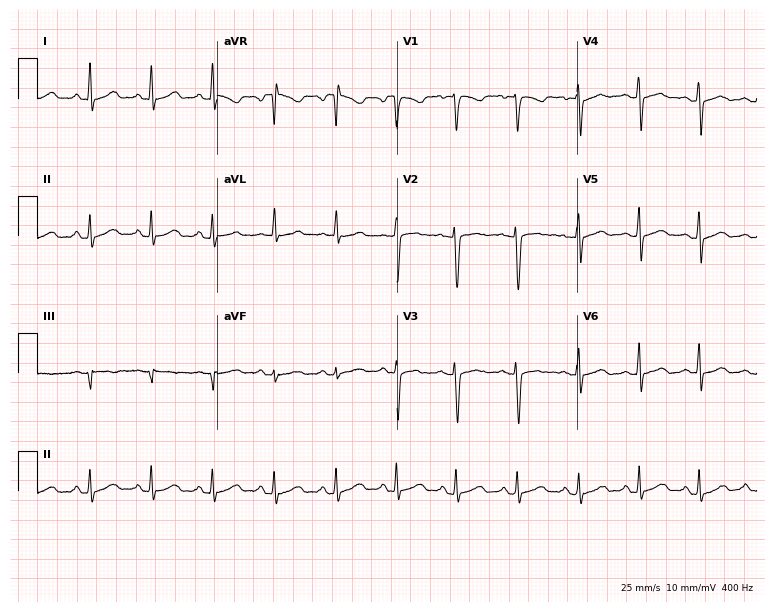
Electrocardiogram (7.3-second recording at 400 Hz), a 30-year-old female. Of the six screened findings (first-degree AV block, right bundle branch block, left bundle branch block, sinus bradycardia, atrial fibrillation, sinus tachycardia), none is recorded.